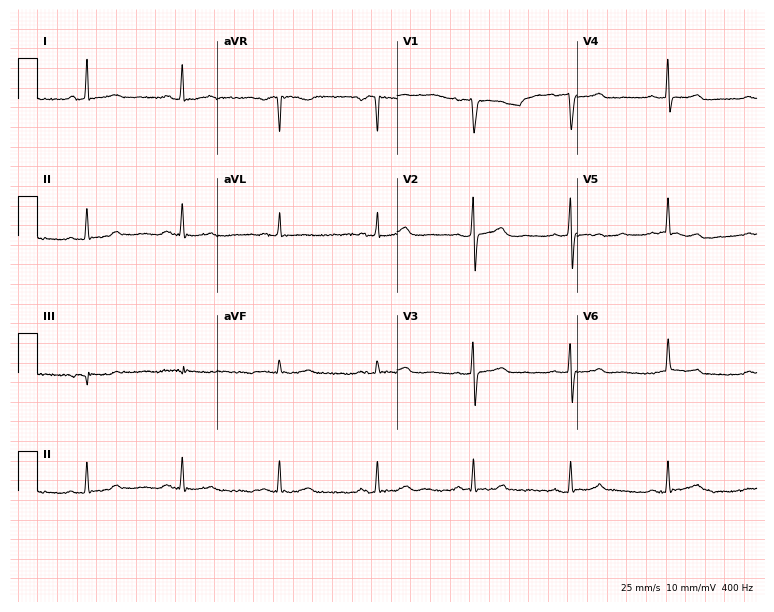
12-lead ECG from a female, 59 years old. No first-degree AV block, right bundle branch block, left bundle branch block, sinus bradycardia, atrial fibrillation or sinus tachycardia recorded for this tracing.